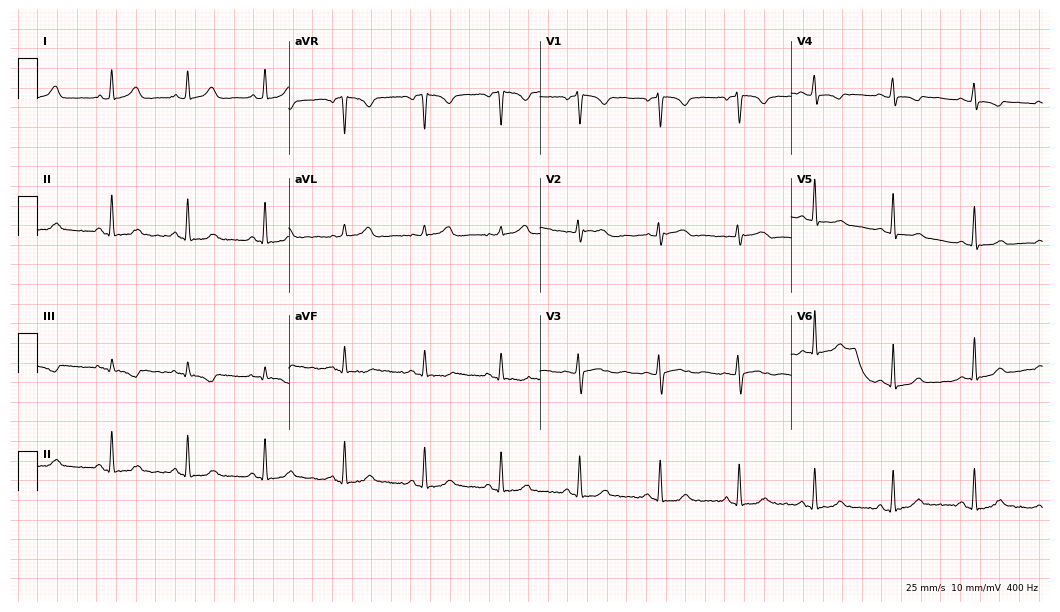
12-lead ECG (10.2-second recording at 400 Hz) from a 31-year-old female patient. Labelled as a normal ECG.